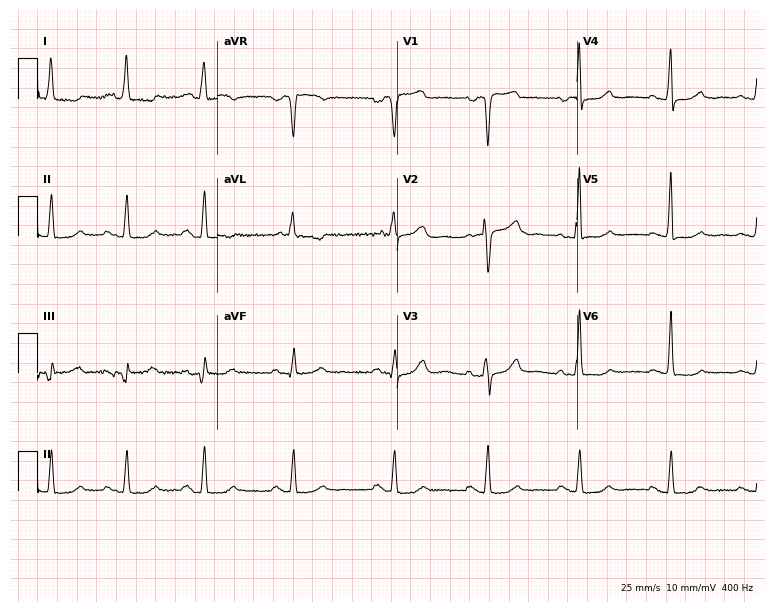
Resting 12-lead electrocardiogram (7.3-second recording at 400 Hz). Patient: a woman, 84 years old. None of these six findings is recorded: first-degree AV block, right bundle branch block, left bundle branch block, sinus bradycardia, atrial fibrillation, sinus tachycardia.